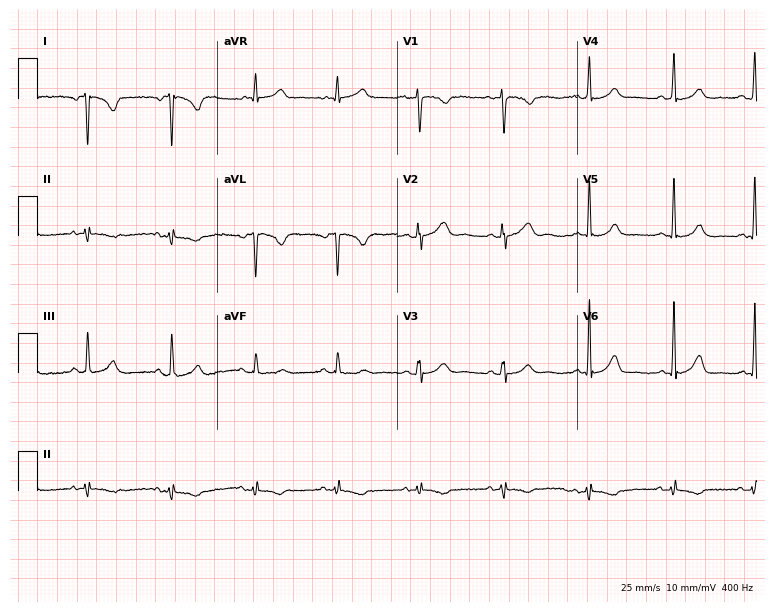
ECG — a female patient, 39 years old. Screened for six findings — first-degree AV block, right bundle branch block (RBBB), left bundle branch block (LBBB), sinus bradycardia, atrial fibrillation (AF), sinus tachycardia — none is recorded. Findings outside these six are not listed.